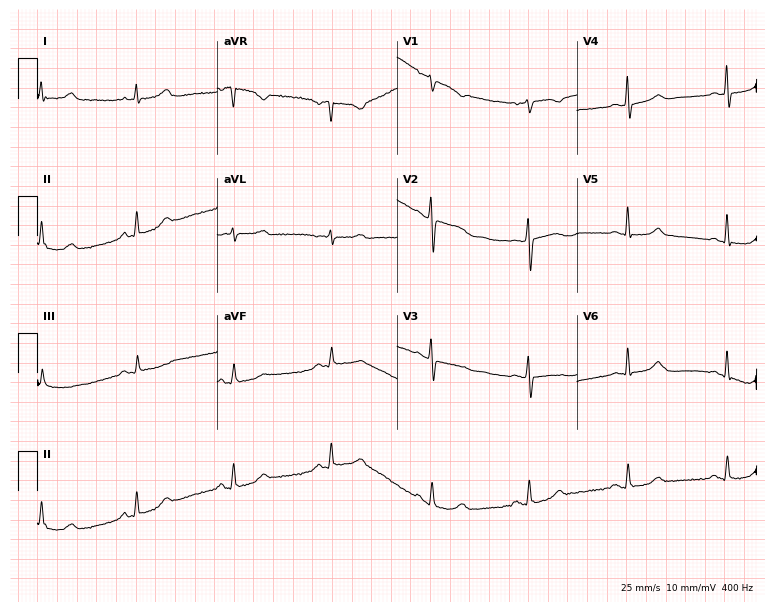
12-lead ECG from a 55-year-old female patient (7.3-second recording at 400 Hz). No first-degree AV block, right bundle branch block, left bundle branch block, sinus bradycardia, atrial fibrillation or sinus tachycardia recorded for this tracing. Only these six findings were labelled.